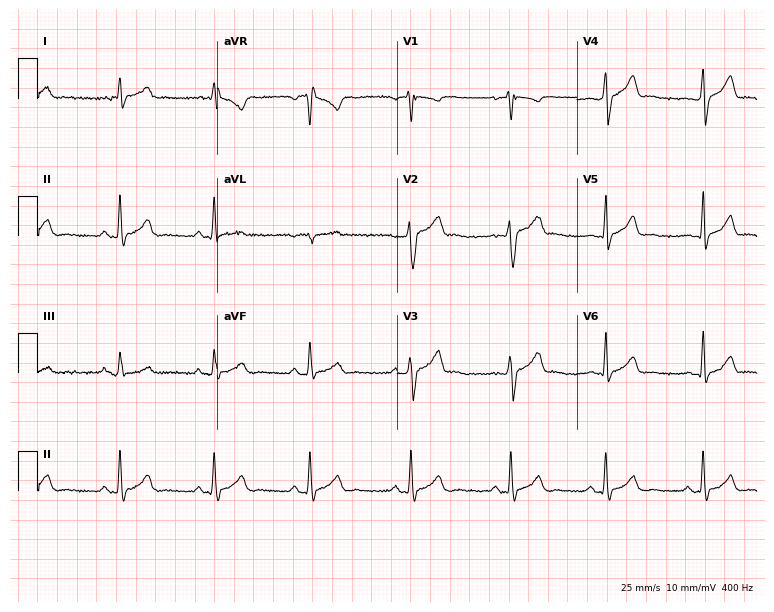
12-lead ECG from an 18-year-old male (7.3-second recording at 400 Hz). Recorded interpretation: within normal limits.